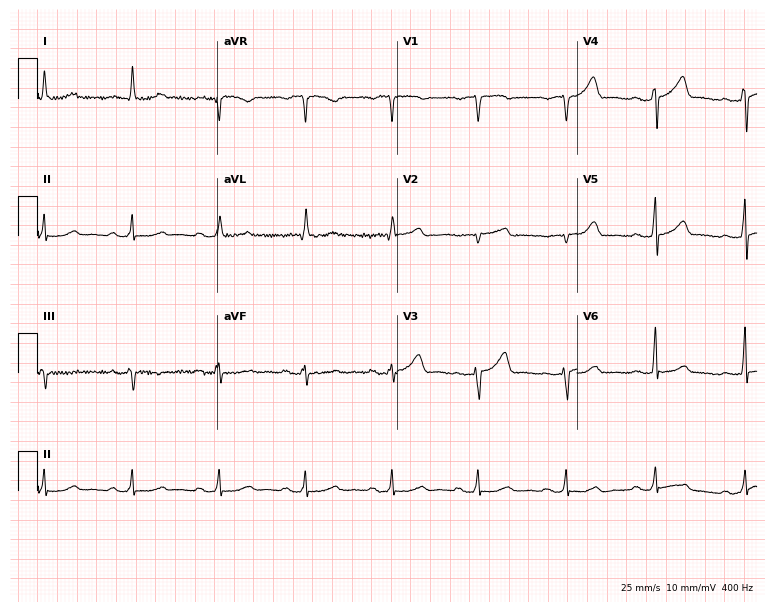
Resting 12-lead electrocardiogram. Patient: a male, 61 years old. The tracing shows first-degree AV block.